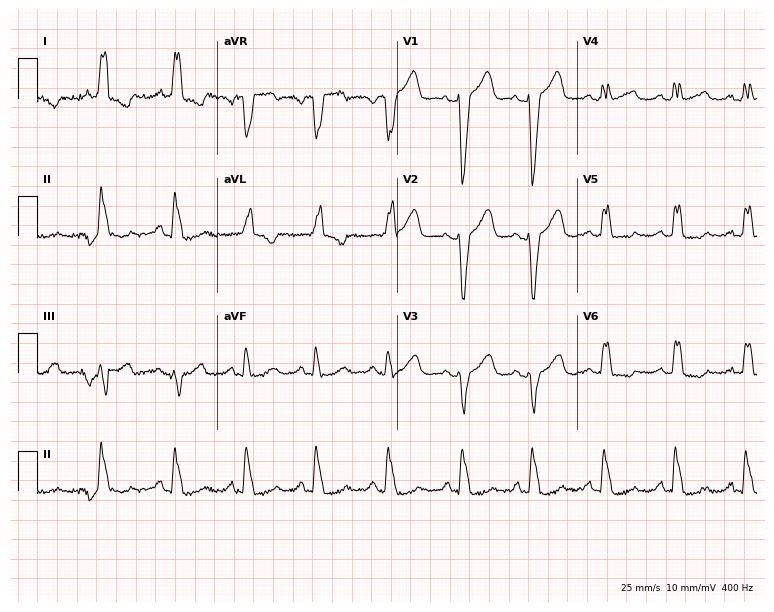
Resting 12-lead electrocardiogram. Patient: a 53-year-old woman. The tracing shows left bundle branch block.